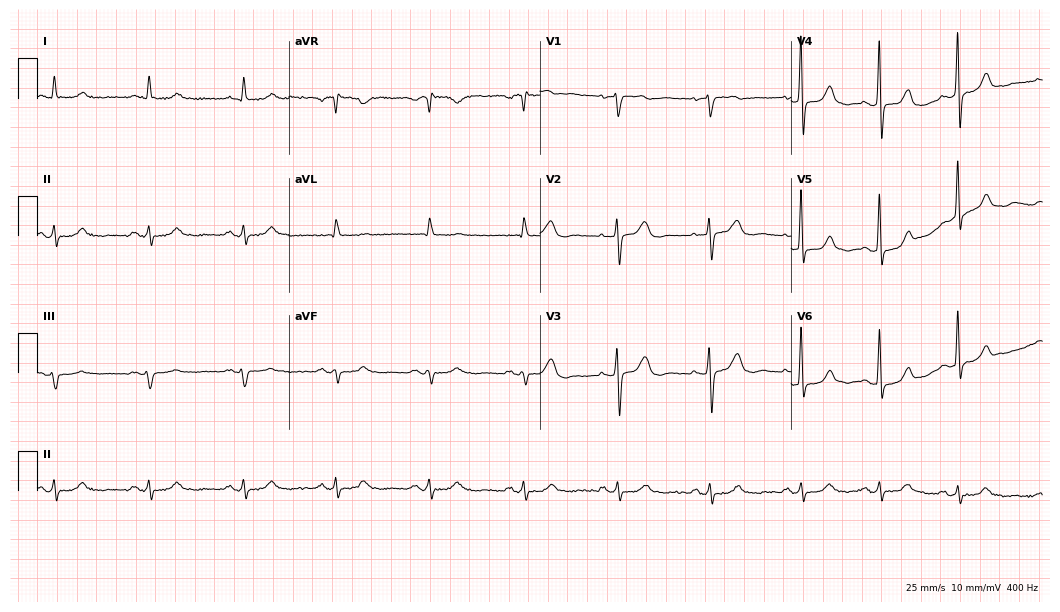
Standard 12-lead ECG recorded from a 68-year-old male patient (10.2-second recording at 400 Hz). Read as a normal ECG.